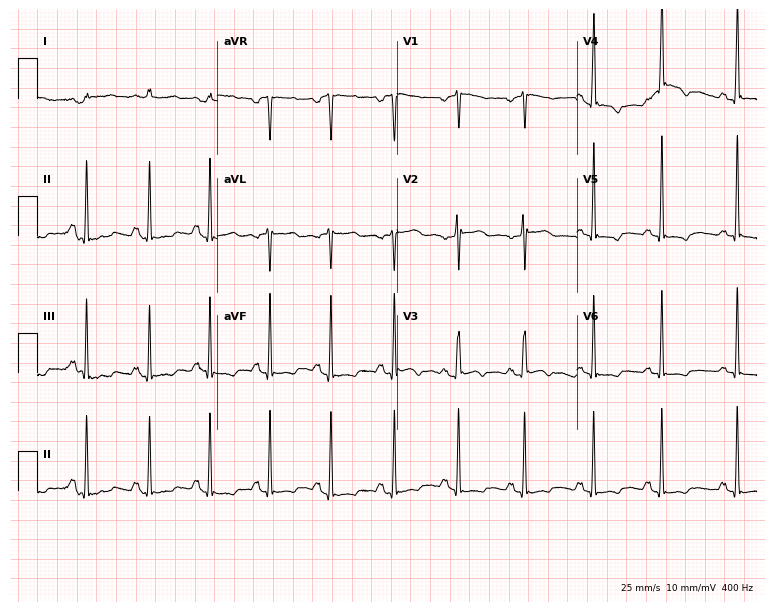
12-lead ECG from a 51-year-old female patient (7.3-second recording at 400 Hz). No first-degree AV block, right bundle branch block (RBBB), left bundle branch block (LBBB), sinus bradycardia, atrial fibrillation (AF) or sinus tachycardia recorded for this tracing.